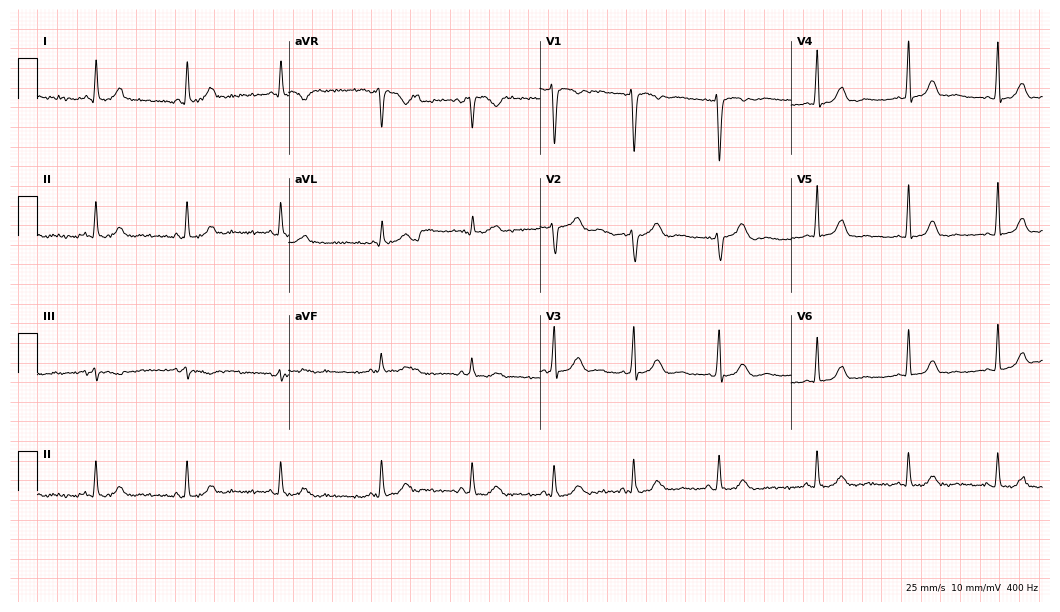
12-lead ECG from a 32-year-old female patient (10.2-second recording at 400 Hz). Recorded interpretation: within normal limits.